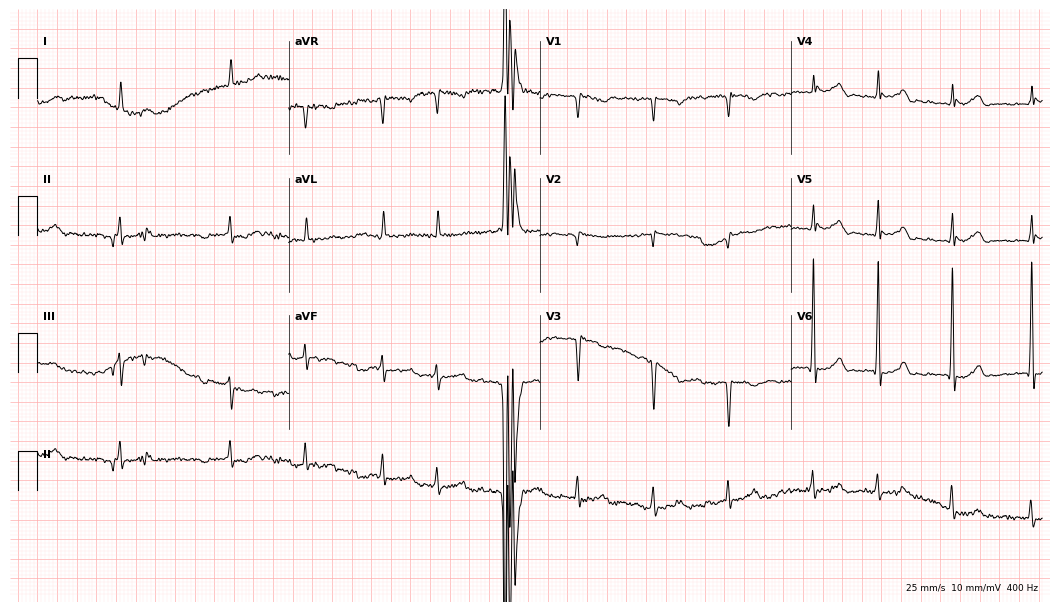
ECG (10.2-second recording at 400 Hz) — an 84-year-old man. Findings include atrial fibrillation (AF).